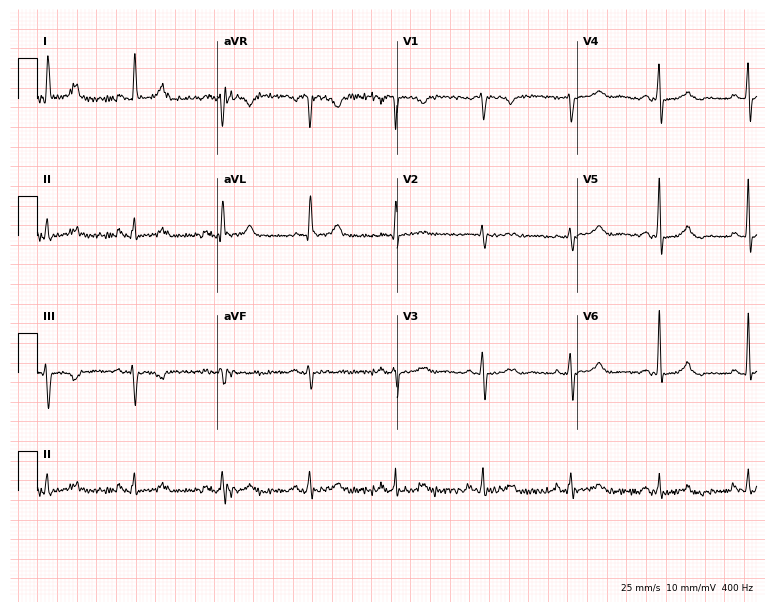
12-lead ECG (7.3-second recording at 400 Hz) from a male patient, 74 years old. Screened for six findings — first-degree AV block, right bundle branch block, left bundle branch block, sinus bradycardia, atrial fibrillation, sinus tachycardia — none is recorded. Findings outside these six are not listed.